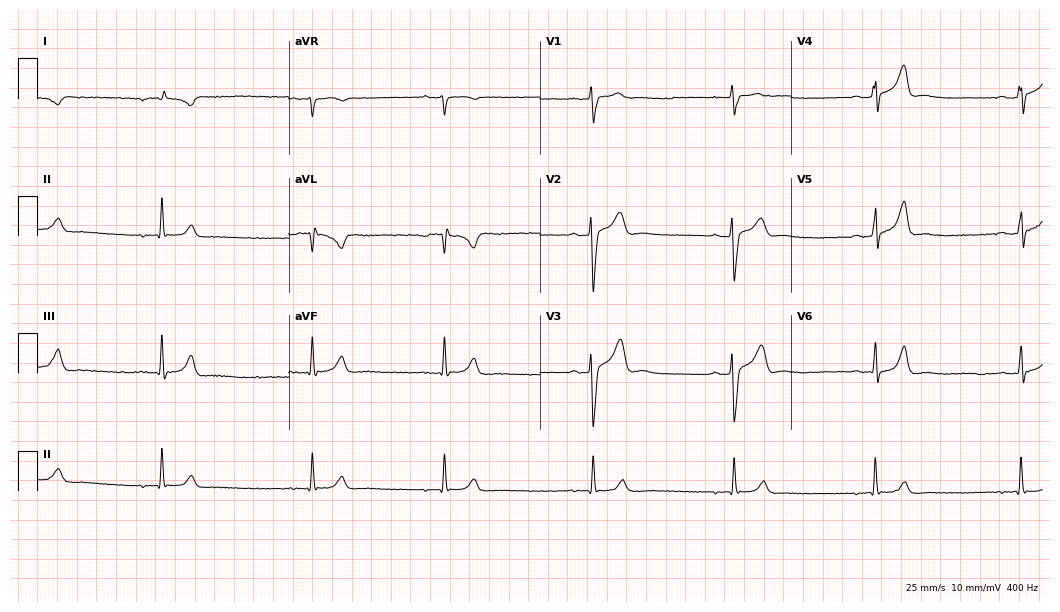
Standard 12-lead ECG recorded from a male, 22 years old. None of these six findings is recorded: first-degree AV block, right bundle branch block, left bundle branch block, sinus bradycardia, atrial fibrillation, sinus tachycardia. Only these six findings were labelled.